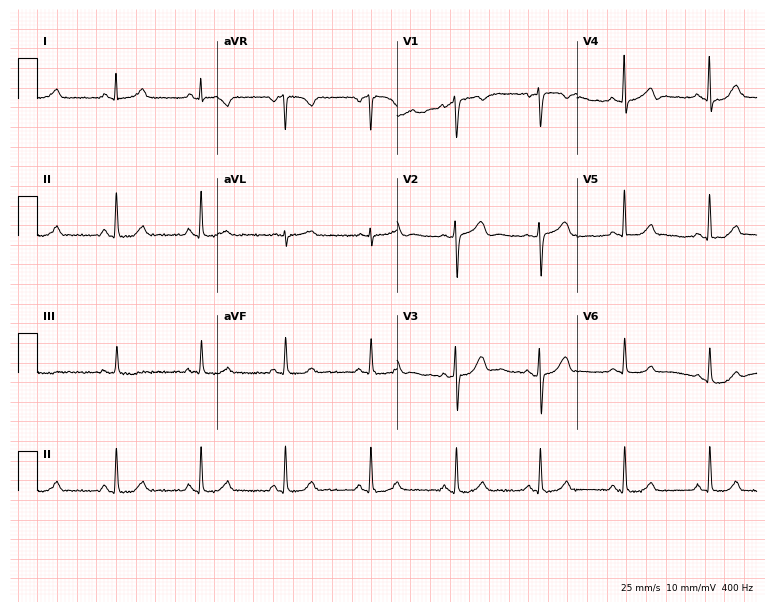
Standard 12-lead ECG recorded from a 59-year-old woman. Read as a normal ECG.